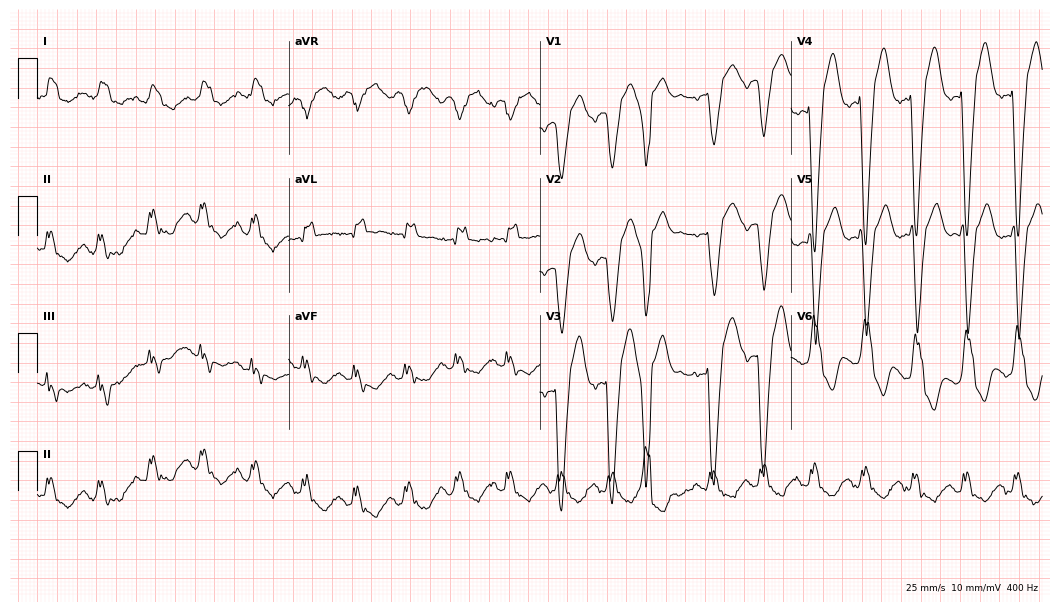
Standard 12-lead ECG recorded from a female patient, 77 years old (10.2-second recording at 400 Hz). The tracing shows left bundle branch block, sinus tachycardia (a sinus rate of 100 beats per minute or more).